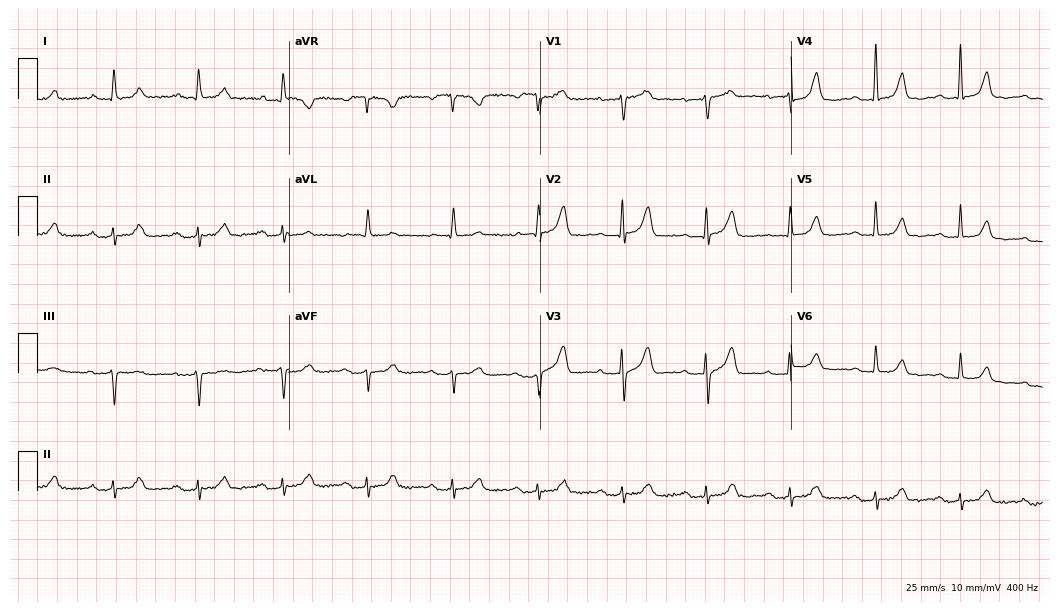
12-lead ECG (10.2-second recording at 400 Hz) from a female patient, 81 years old. Findings include first-degree AV block.